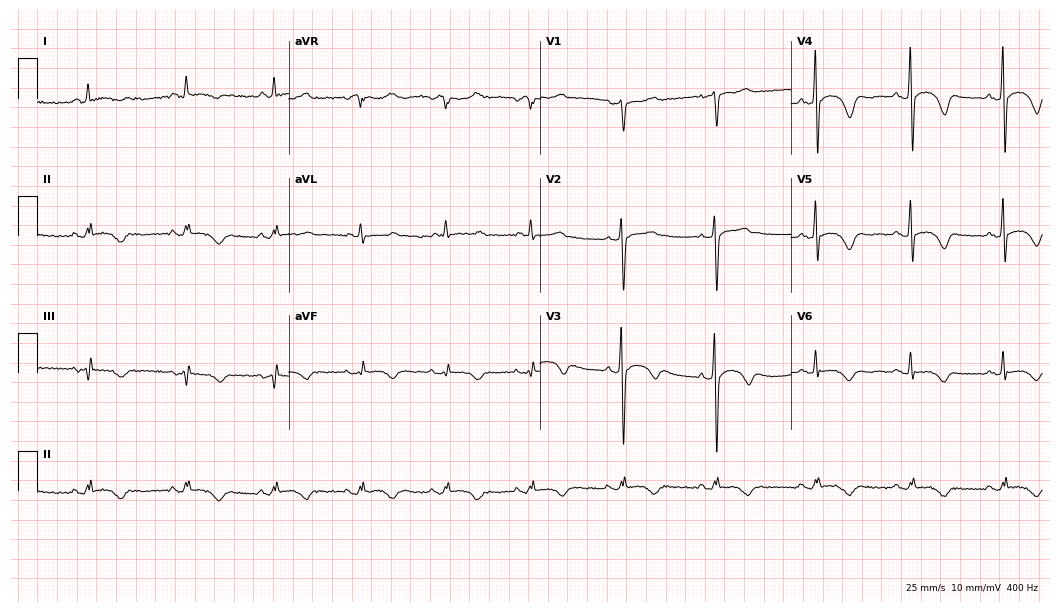
Standard 12-lead ECG recorded from a 54-year-old male (10.2-second recording at 400 Hz). None of these six findings is recorded: first-degree AV block, right bundle branch block, left bundle branch block, sinus bradycardia, atrial fibrillation, sinus tachycardia. Only these six findings were labelled.